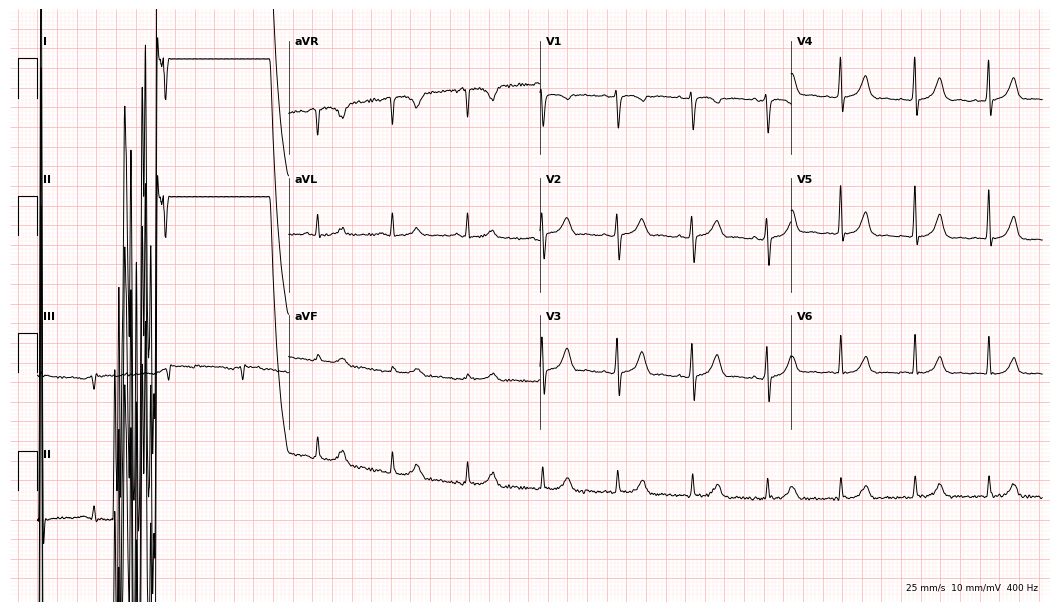
Standard 12-lead ECG recorded from a 65-year-old female patient. None of these six findings is recorded: first-degree AV block, right bundle branch block, left bundle branch block, sinus bradycardia, atrial fibrillation, sinus tachycardia. Findings outside these six are not listed.